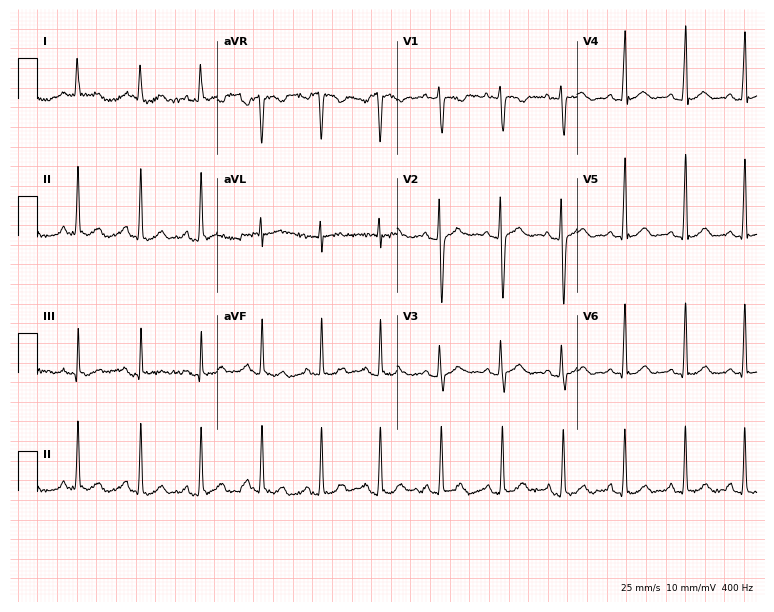
Standard 12-lead ECG recorded from a female, 24 years old. None of these six findings is recorded: first-degree AV block, right bundle branch block (RBBB), left bundle branch block (LBBB), sinus bradycardia, atrial fibrillation (AF), sinus tachycardia. Only these six findings were labelled.